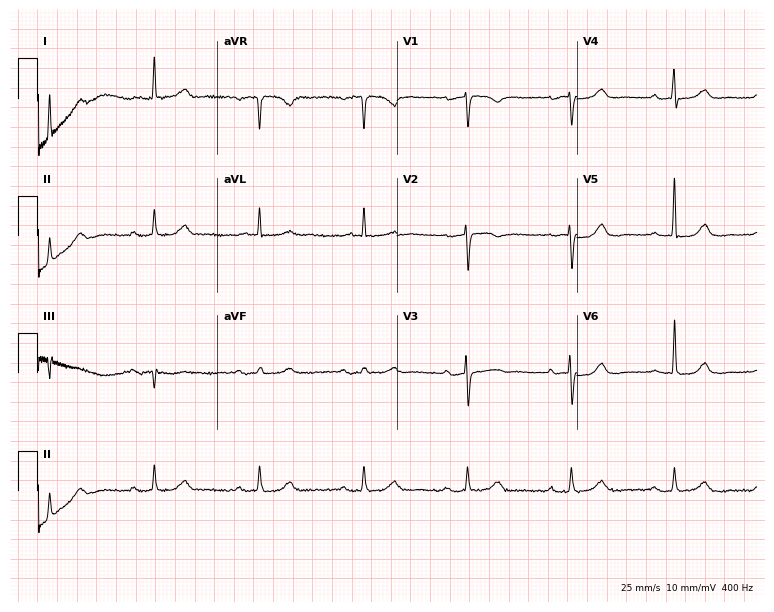
Resting 12-lead electrocardiogram (7.3-second recording at 400 Hz). Patient: an 85-year-old female. None of these six findings is recorded: first-degree AV block, right bundle branch block, left bundle branch block, sinus bradycardia, atrial fibrillation, sinus tachycardia.